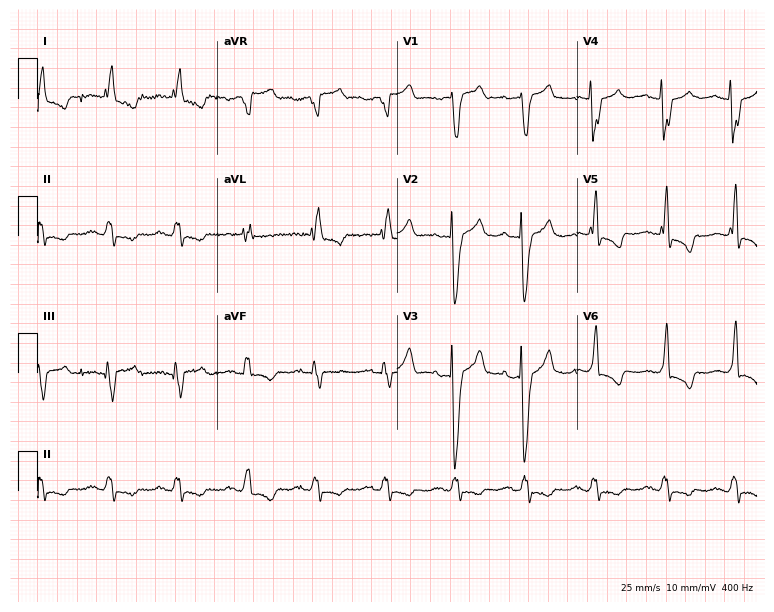
Resting 12-lead electrocardiogram (7.3-second recording at 400 Hz). Patient: a 72-year-old female. The tracing shows left bundle branch block.